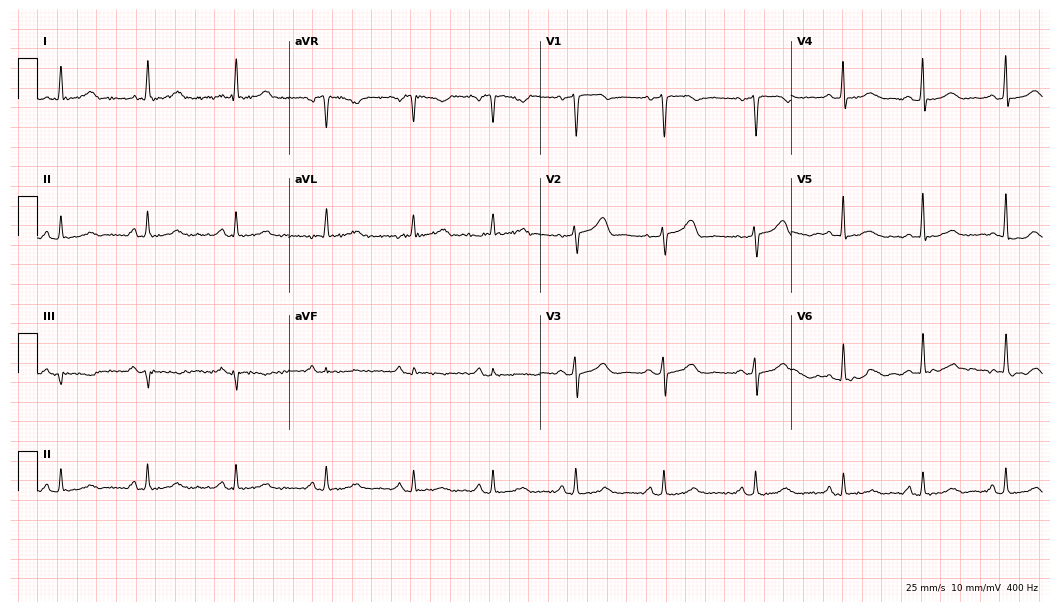
Electrocardiogram, a female patient, 45 years old. Overall reading on record: normal ECG.